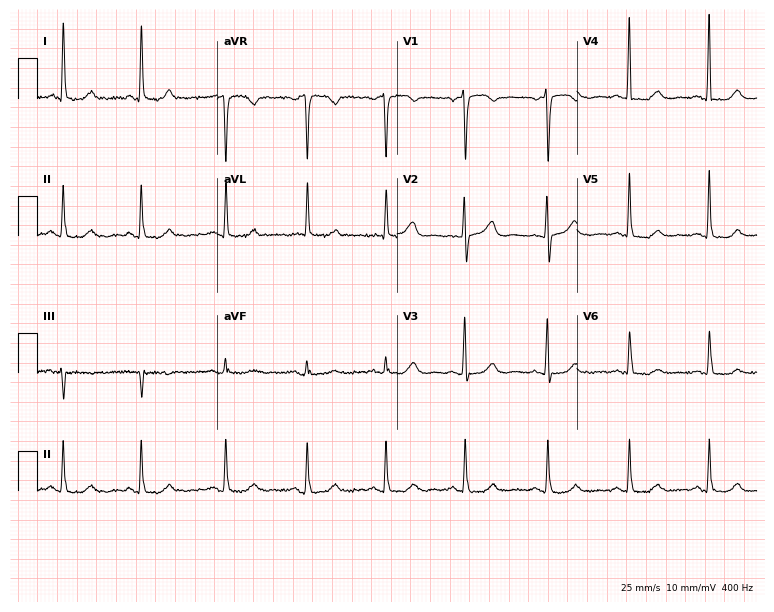
Standard 12-lead ECG recorded from a 74-year-old woman (7.3-second recording at 400 Hz). None of these six findings is recorded: first-degree AV block, right bundle branch block, left bundle branch block, sinus bradycardia, atrial fibrillation, sinus tachycardia.